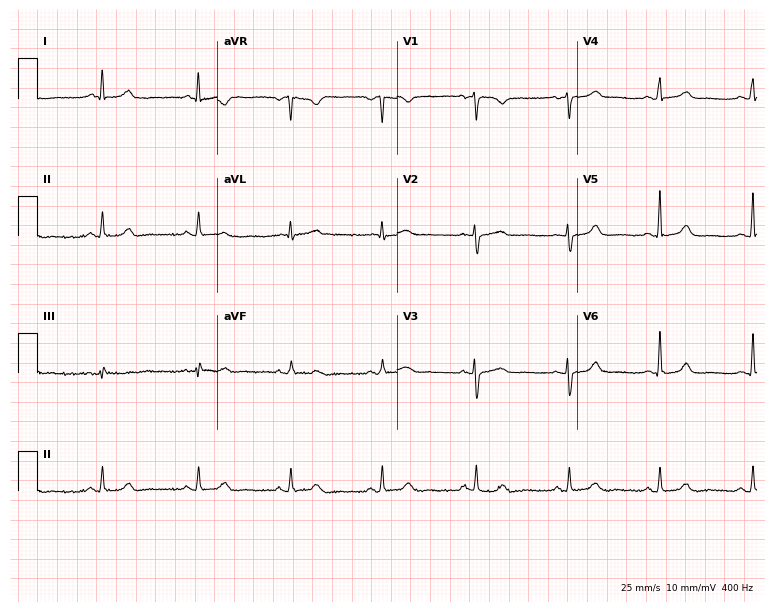
Electrocardiogram, a female patient, 46 years old. Of the six screened findings (first-degree AV block, right bundle branch block, left bundle branch block, sinus bradycardia, atrial fibrillation, sinus tachycardia), none is recorded.